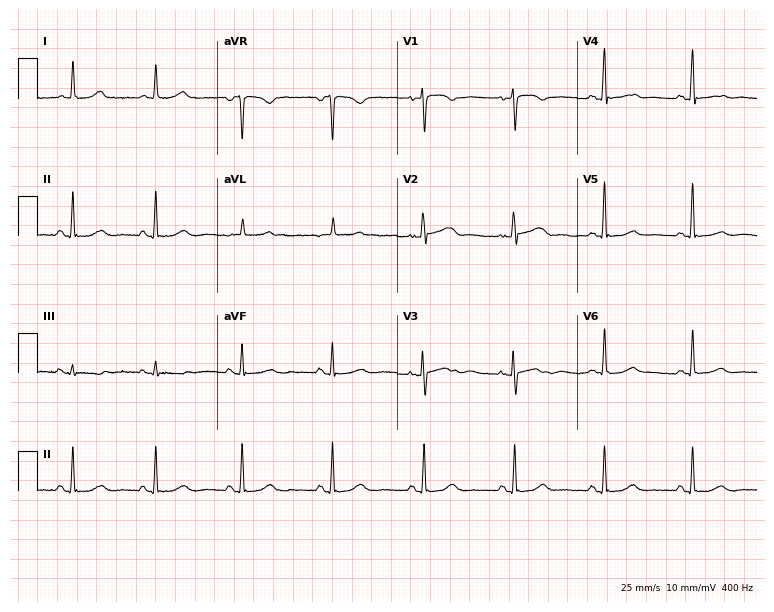
12-lead ECG (7.3-second recording at 400 Hz) from a woman, 67 years old. Labelled as a normal ECG.